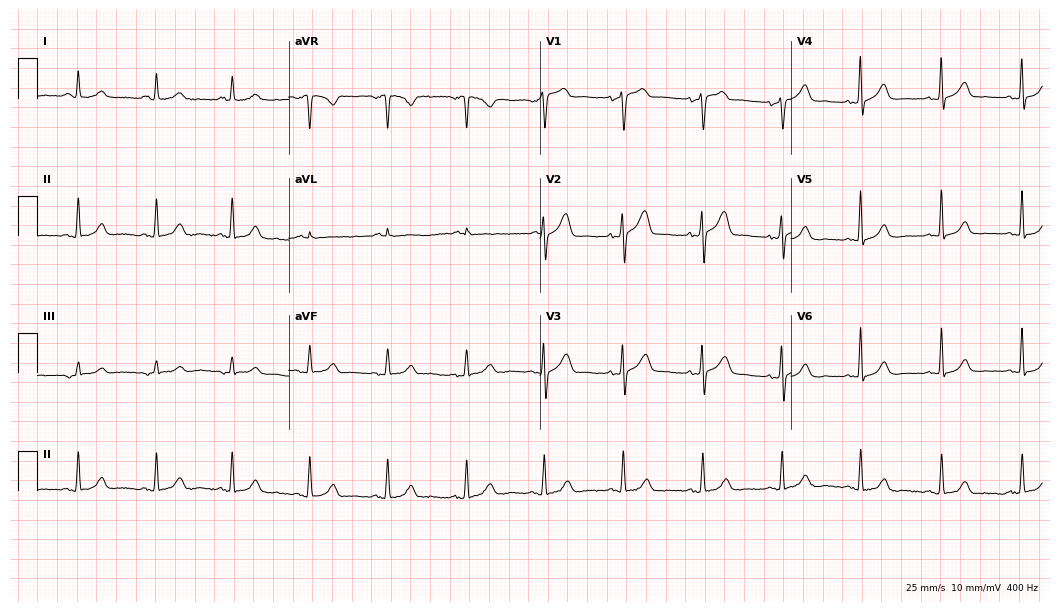
Resting 12-lead electrocardiogram (10.2-second recording at 400 Hz). Patient: a woman, 75 years old. Read as a normal ECG.